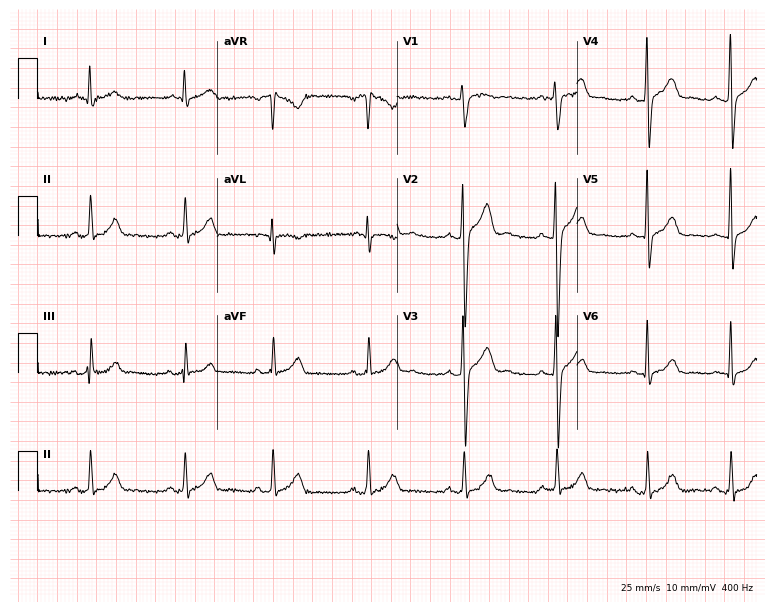
Resting 12-lead electrocardiogram. Patient: a 22-year-old male. Read as a normal ECG.